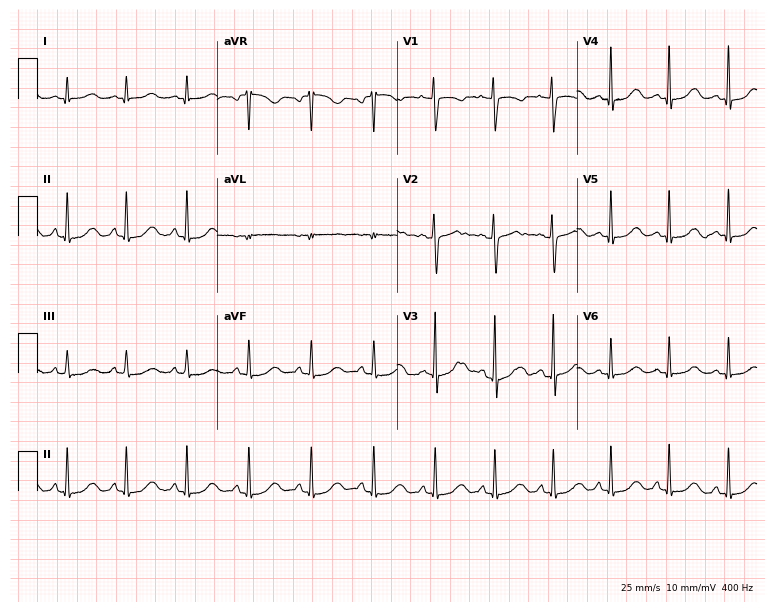
12-lead ECG from a female patient, 34 years old. Labelled as a normal ECG.